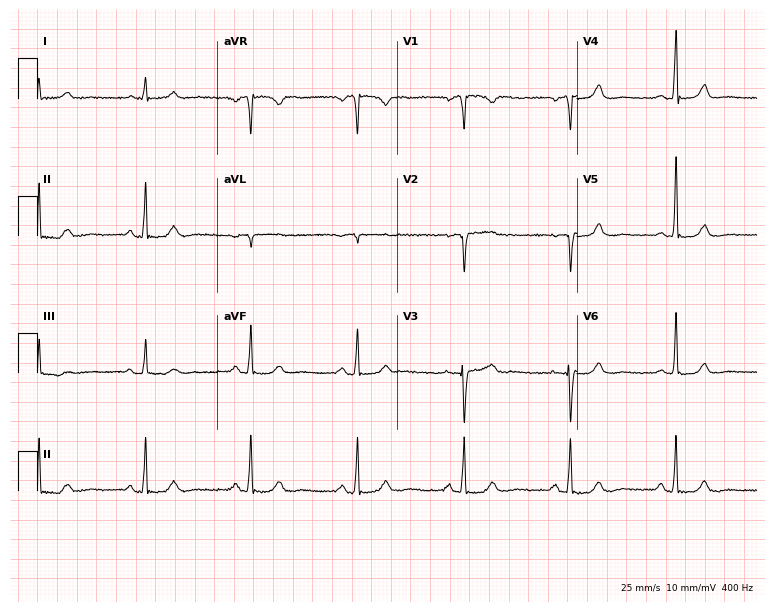
Resting 12-lead electrocardiogram (7.3-second recording at 400 Hz). Patient: a 76-year-old female. Read as a normal ECG.